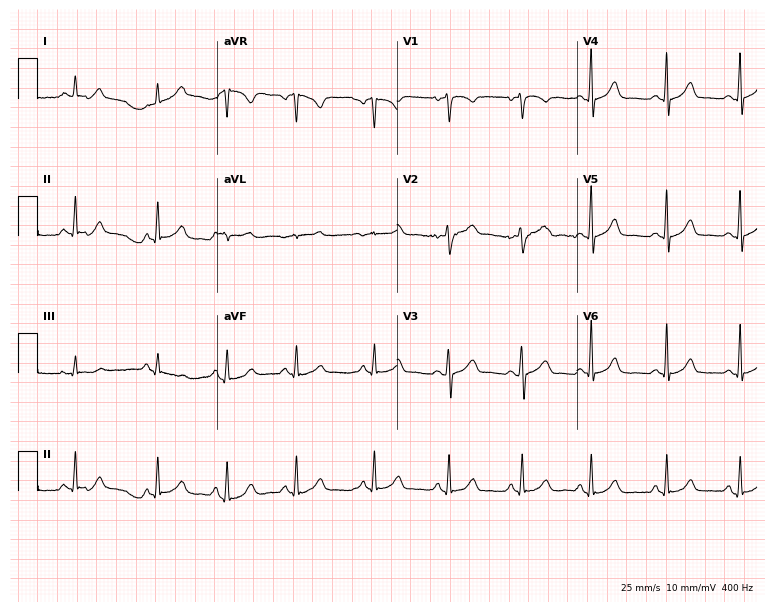
Standard 12-lead ECG recorded from a woman, 30 years old (7.3-second recording at 400 Hz). Read as a normal ECG.